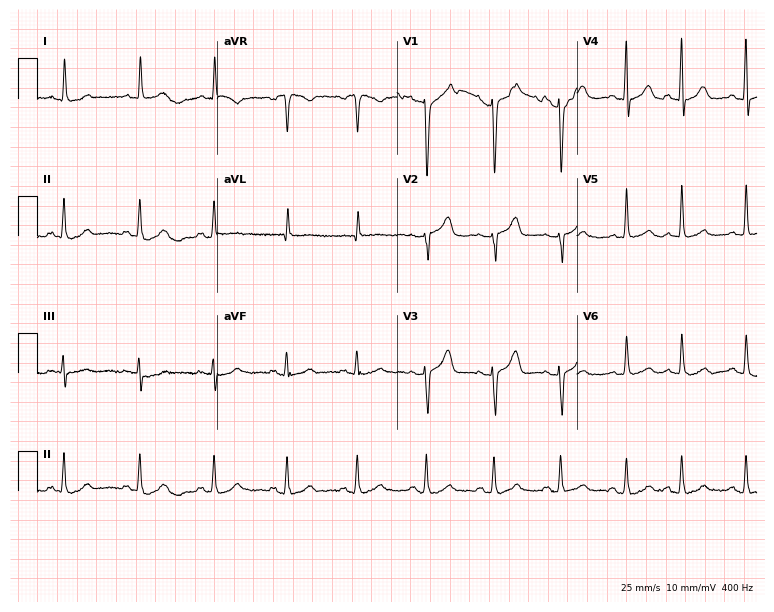
Standard 12-lead ECG recorded from a woman, 84 years old. None of these six findings is recorded: first-degree AV block, right bundle branch block, left bundle branch block, sinus bradycardia, atrial fibrillation, sinus tachycardia.